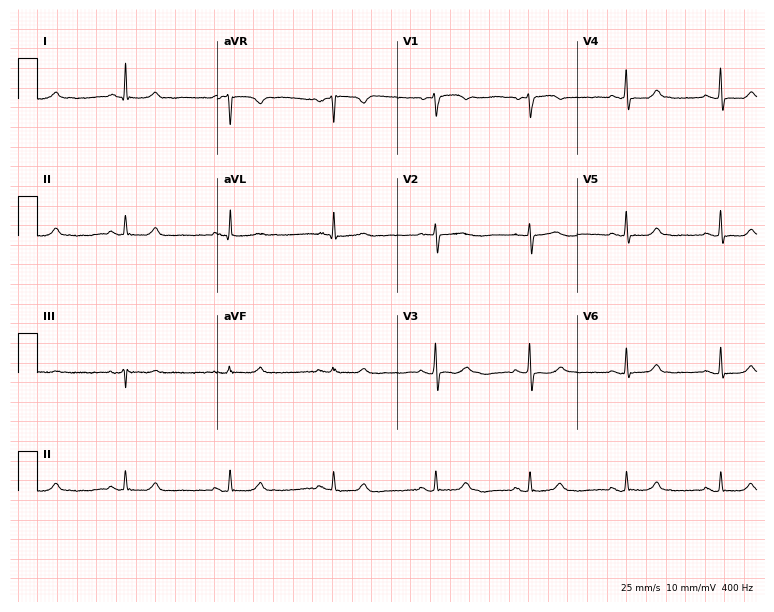
Electrocardiogram, a 61-year-old female. Overall reading on record: normal ECG.